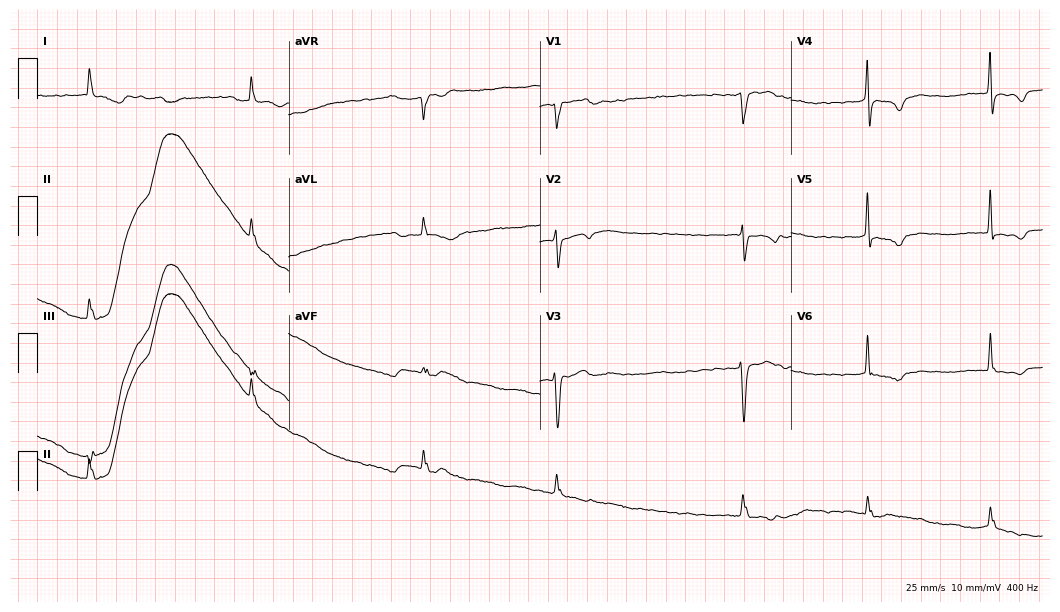
Resting 12-lead electrocardiogram (10.2-second recording at 400 Hz). Patient: a female, 74 years old. None of these six findings is recorded: first-degree AV block, right bundle branch block, left bundle branch block, sinus bradycardia, atrial fibrillation, sinus tachycardia.